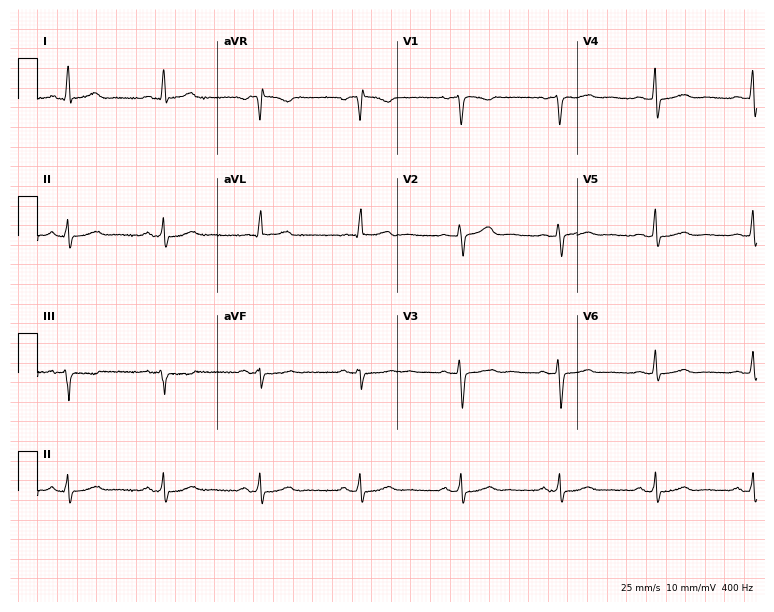
12-lead ECG from a 63-year-old female patient (7.3-second recording at 400 Hz). Recorded interpretation: within normal limits.